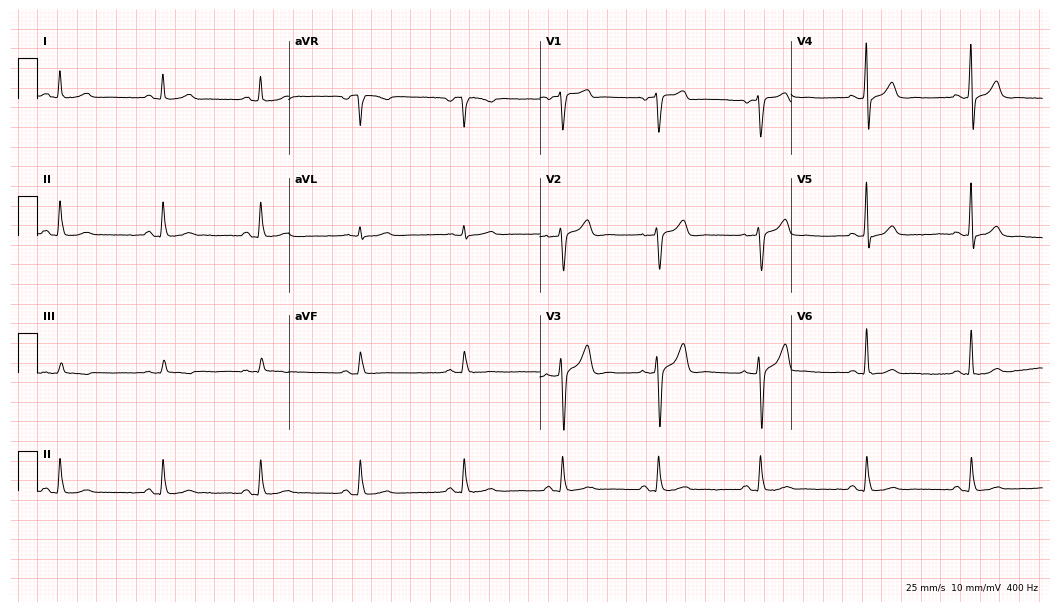
Resting 12-lead electrocardiogram (10.2-second recording at 400 Hz). Patient: a male, 48 years old. Read as a normal ECG.